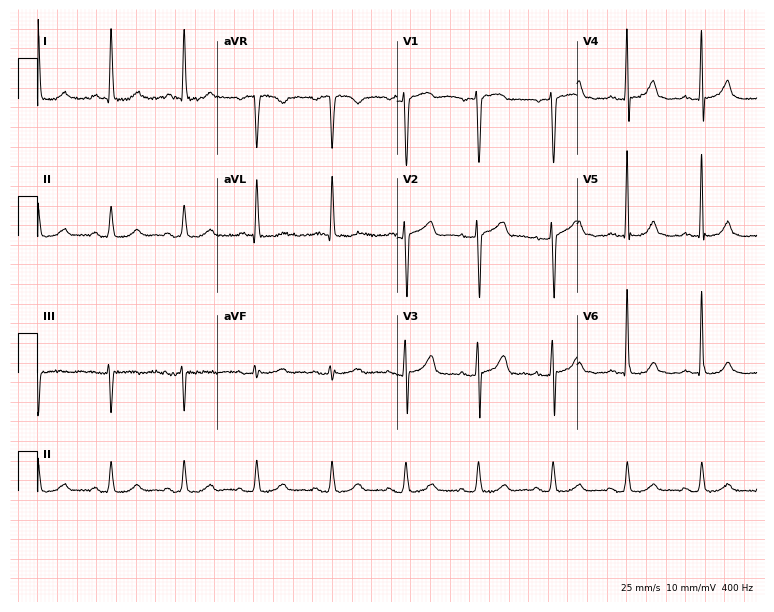
Standard 12-lead ECG recorded from a woman, 58 years old (7.3-second recording at 400 Hz). None of these six findings is recorded: first-degree AV block, right bundle branch block, left bundle branch block, sinus bradycardia, atrial fibrillation, sinus tachycardia.